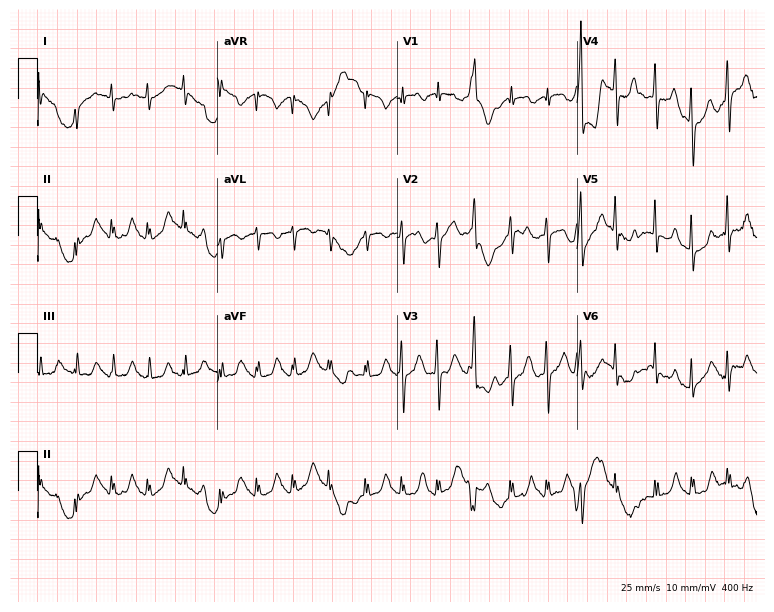
ECG (7.3-second recording at 400 Hz) — a male patient, 77 years old. Findings include sinus tachycardia (a sinus rate of 100 beats per minute or more).